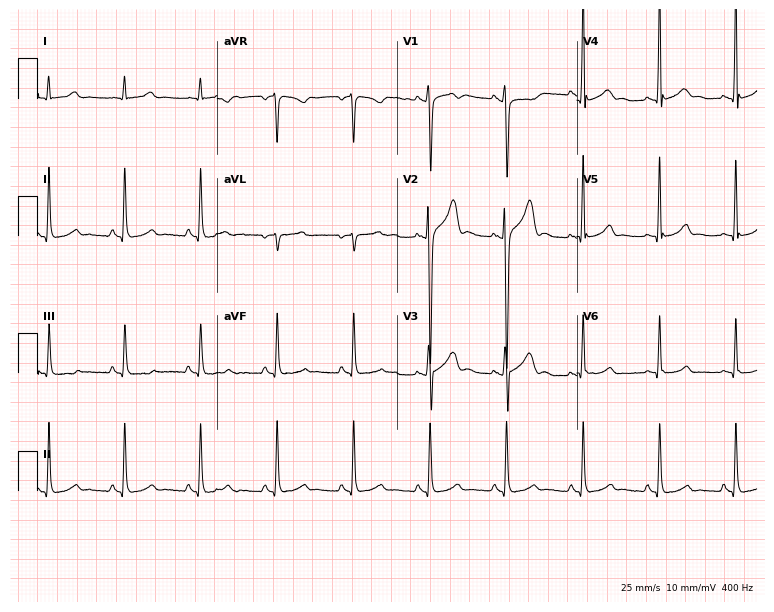
12-lead ECG (7.3-second recording at 400 Hz) from a 17-year-old male patient. Screened for six findings — first-degree AV block, right bundle branch block (RBBB), left bundle branch block (LBBB), sinus bradycardia, atrial fibrillation (AF), sinus tachycardia — none is recorded. Findings outside these six are not listed.